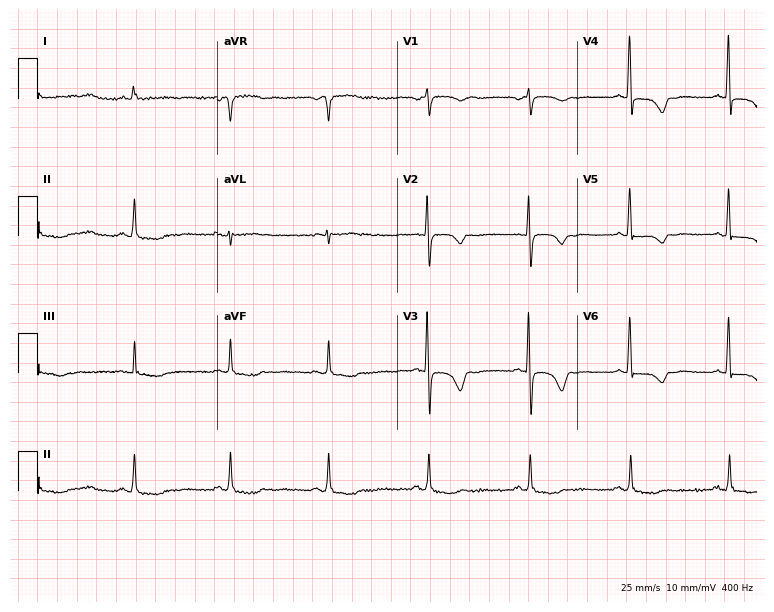
12-lead ECG from a female patient, 53 years old (7.3-second recording at 400 Hz). No first-degree AV block, right bundle branch block (RBBB), left bundle branch block (LBBB), sinus bradycardia, atrial fibrillation (AF) or sinus tachycardia recorded for this tracing.